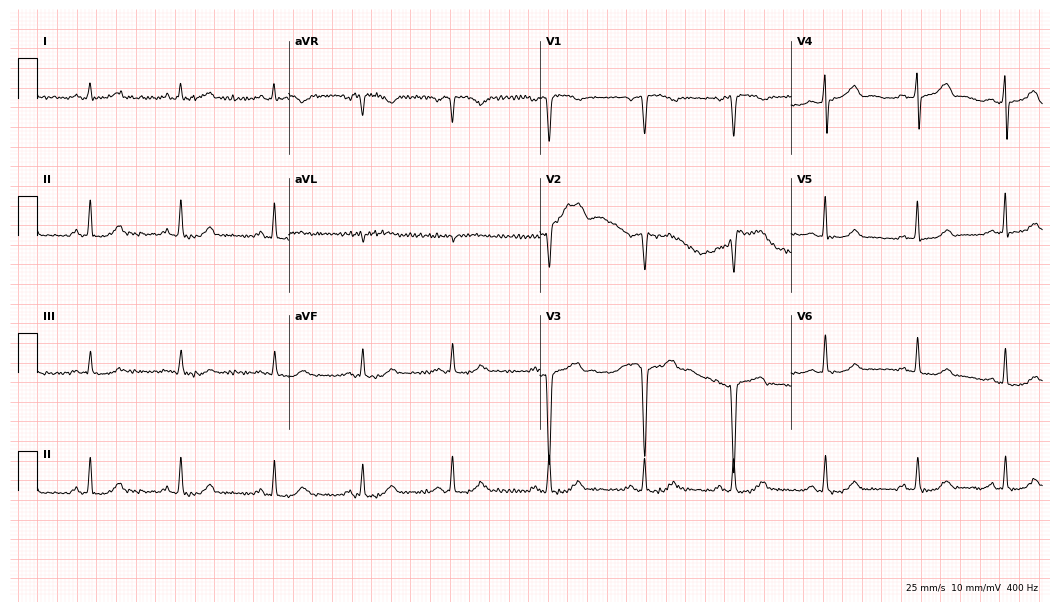
Standard 12-lead ECG recorded from a woman, 50 years old. None of these six findings is recorded: first-degree AV block, right bundle branch block, left bundle branch block, sinus bradycardia, atrial fibrillation, sinus tachycardia. Other findings, if any, are not listed.